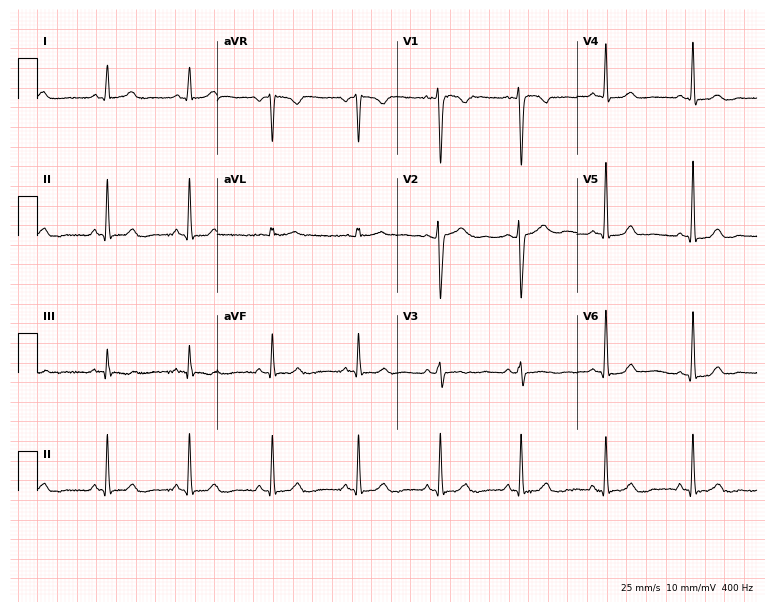
12-lead ECG from a 33-year-old female patient (7.3-second recording at 400 Hz). Recorded interpretation: within normal limits.